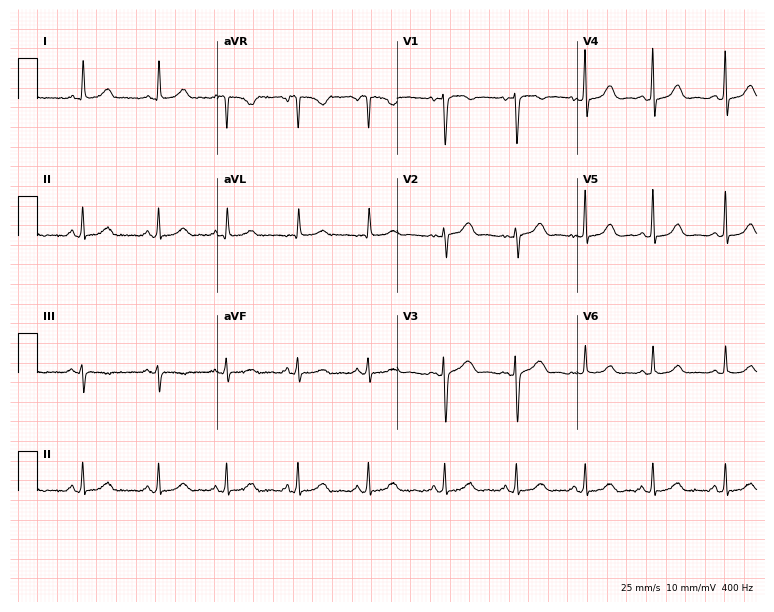
12-lead ECG (7.3-second recording at 400 Hz) from a woman, 42 years old. Screened for six findings — first-degree AV block, right bundle branch block, left bundle branch block, sinus bradycardia, atrial fibrillation, sinus tachycardia — none is recorded. Findings outside these six are not listed.